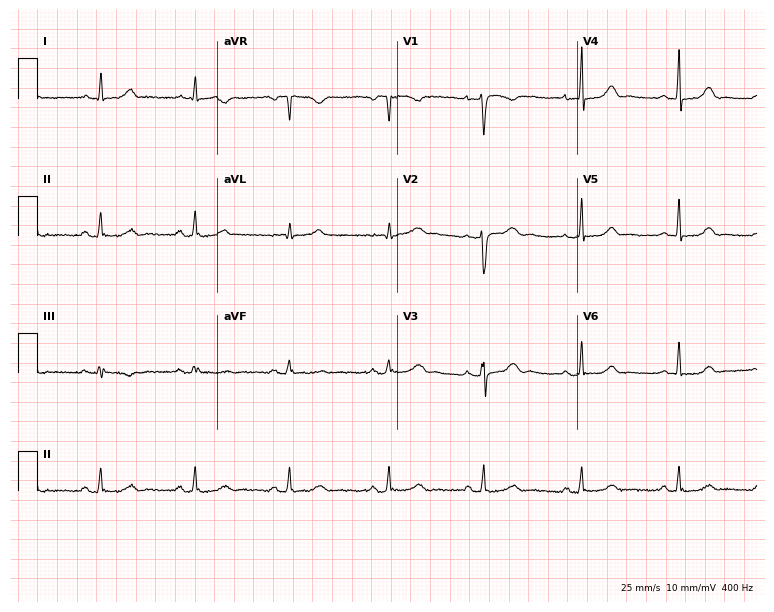
12-lead ECG from a female, 39 years old. Recorded interpretation: within normal limits.